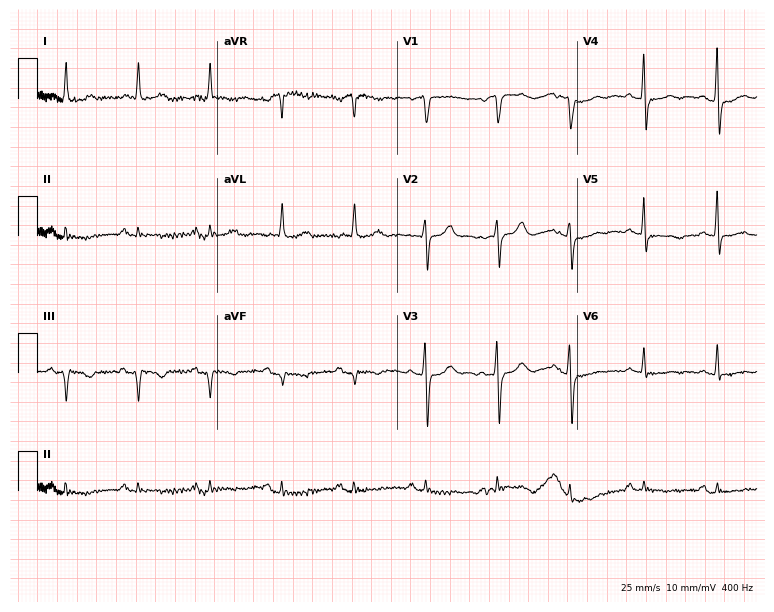
Resting 12-lead electrocardiogram. Patient: a female, 68 years old. None of these six findings is recorded: first-degree AV block, right bundle branch block (RBBB), left bundle branch block (LBBB), sinus bradycardia, atrial fibrillation (AF), sinus tachycardia.